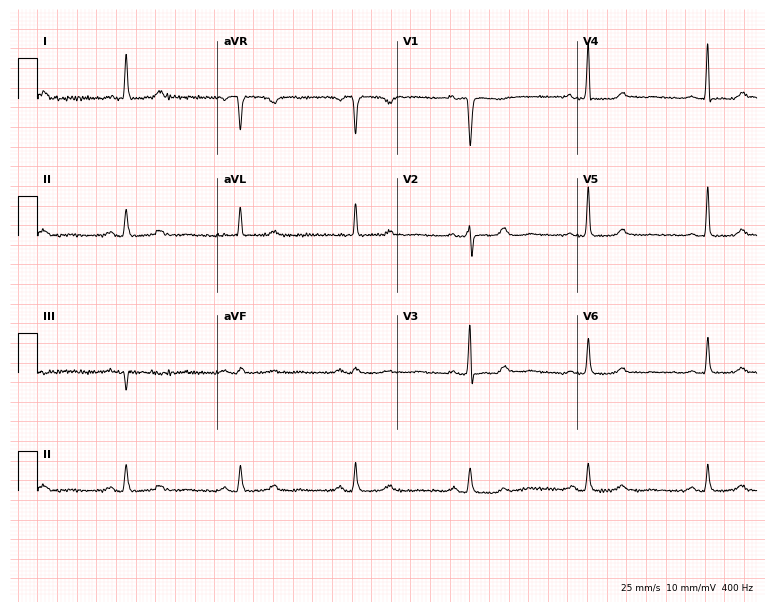
ECG (7.3-second recording at 400 Hz) — a 68-year-old woman. Labelled as a normal ECG.